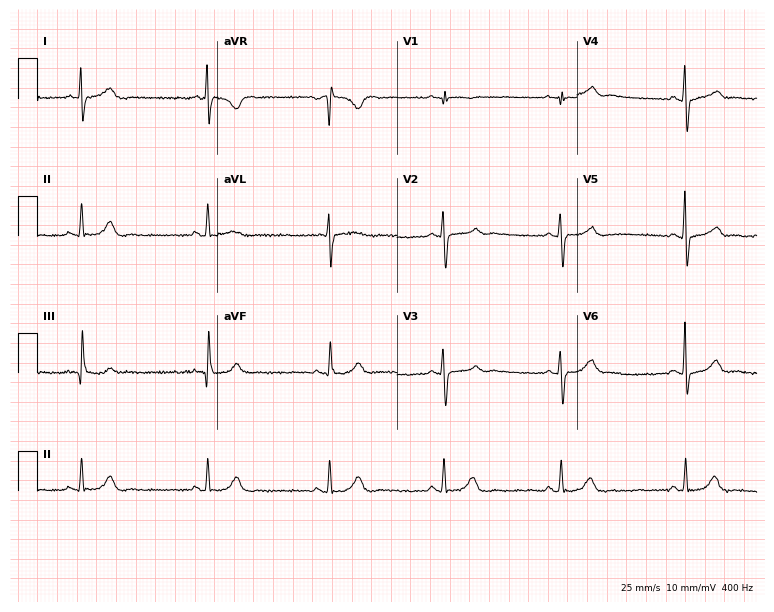
Resting 12-lead electrocardiogram. Patient: a female, 30 years old. The tracing shows sinus bradycardia (a sinus rate of 50 beats per minute or less).